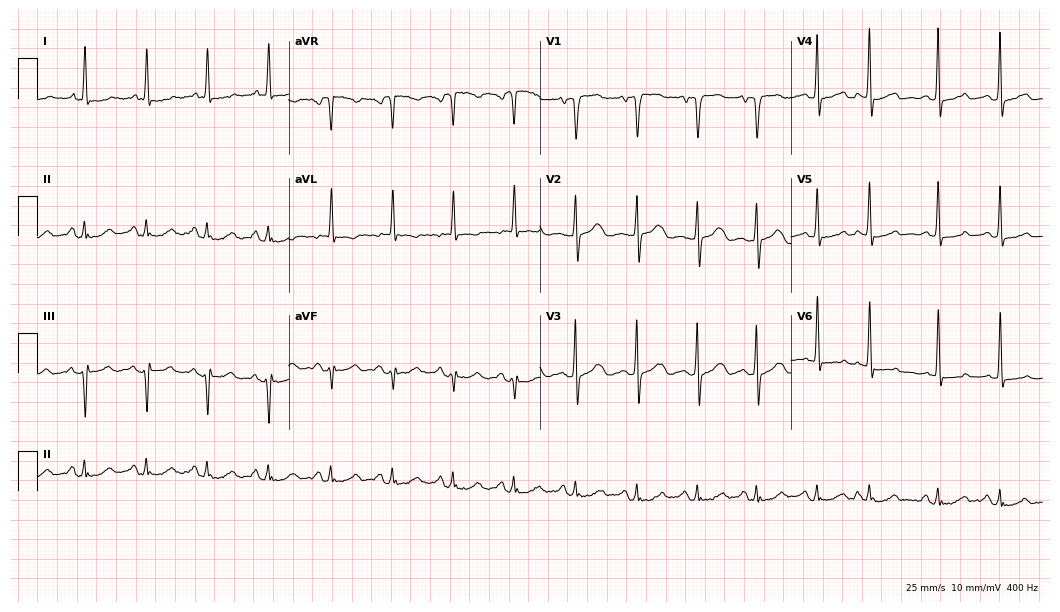
12-lead ECG from an 81-year-old woman. Screened for six findings — first-degree AV block, right bundle branch block, left bundle branch block, sinus bradycardia, atrial fibrillation, sinus tachycardia — none is recorded.